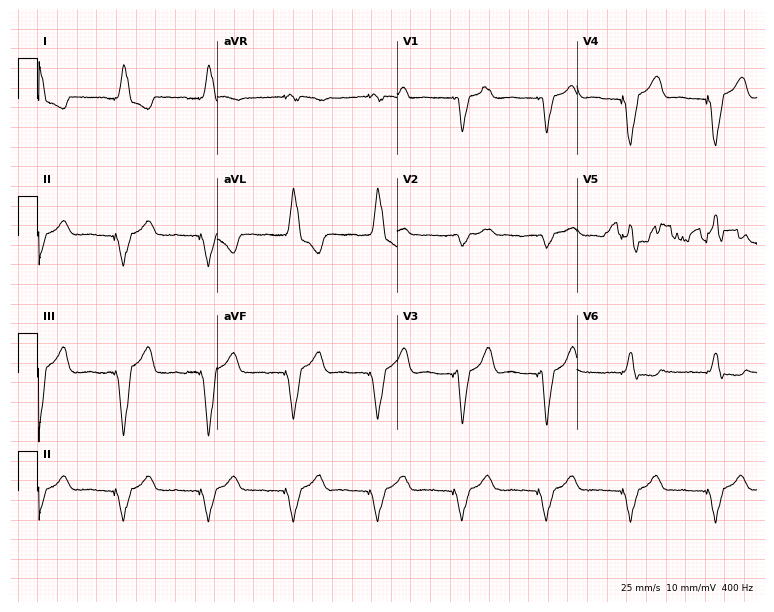
Electrocardiogram (7.3-second recording at 400 Hz), a female patient, 84 years old. Of the six screened findings (first-degree AV block, right bundle branch block, left bundle branch block, sinus bradycardia, atrial fibrillation, sinus tachycardia), none is recorded.